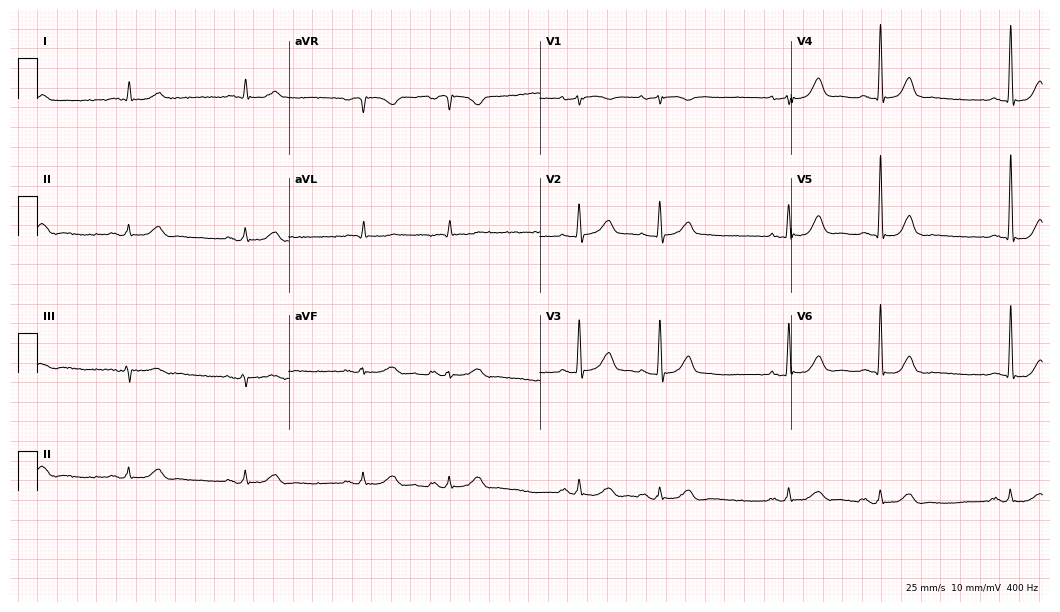
ECG — a 78-year-old male. Labelled as a normal ECG.